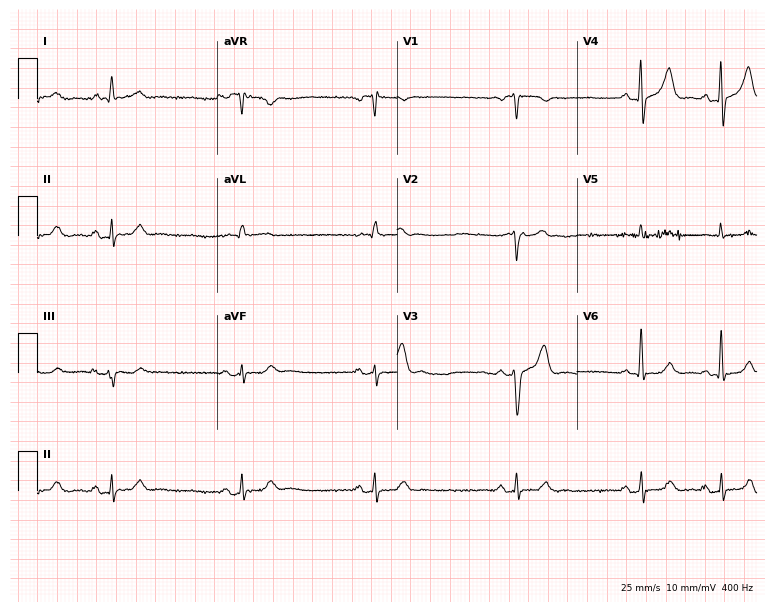
Resting 12-lead electrocardiogram (7.3-second recording at 400 Hz). Patient: a male, 68 years old. The tracing shows sinus bradycardia (a sinus rate of 50 beats per minute or less).